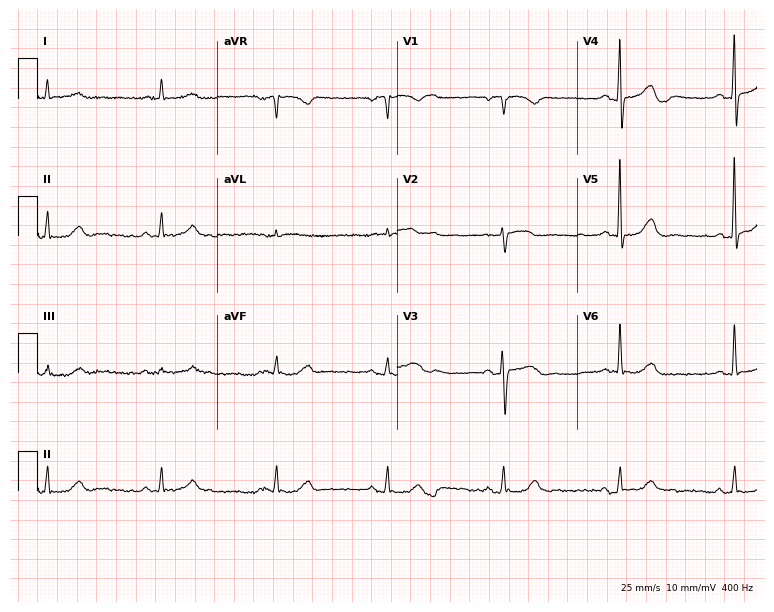
12-lead ECG (7.3-second recording at 400 Hz) from a female patient, 74 years old. Labelled as a normal ECG.